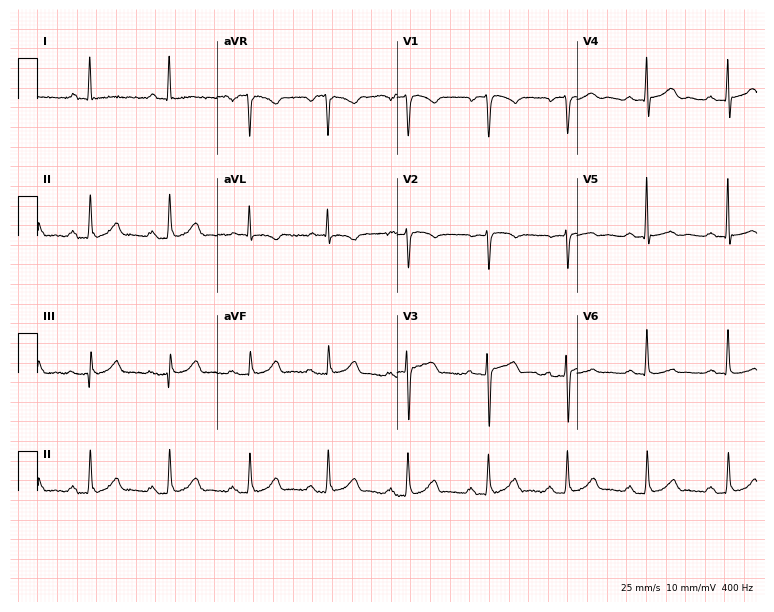
Resting 12-lead electrocardiogram. Patient: a 63-year-old woman. None of these six findings is recorded: first-degree AV block, right bundle branch block (RBBB), left bundle branch block (LBBB), sinus bradycardia, atrial fibrillation (AF), sinus tachycardia.